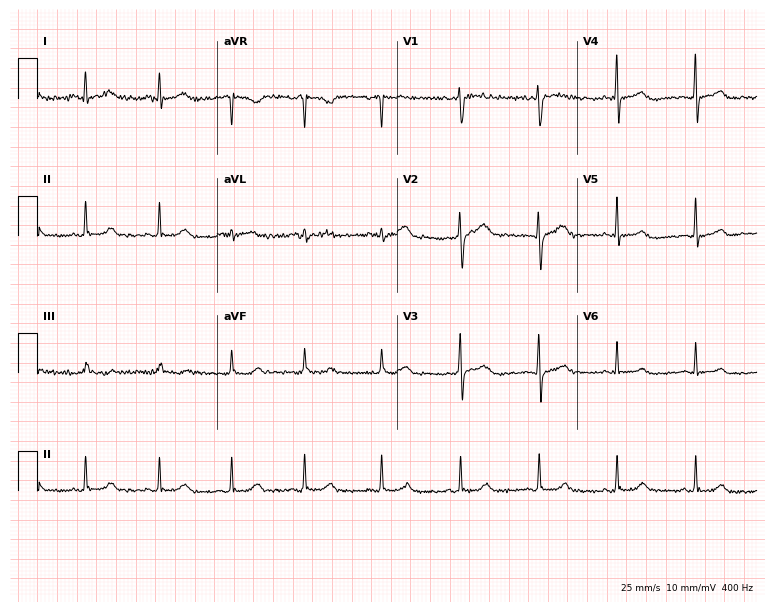
Standard 12-lead ECG recorded from a 50-year-old female patient. Read as a normal ECG.